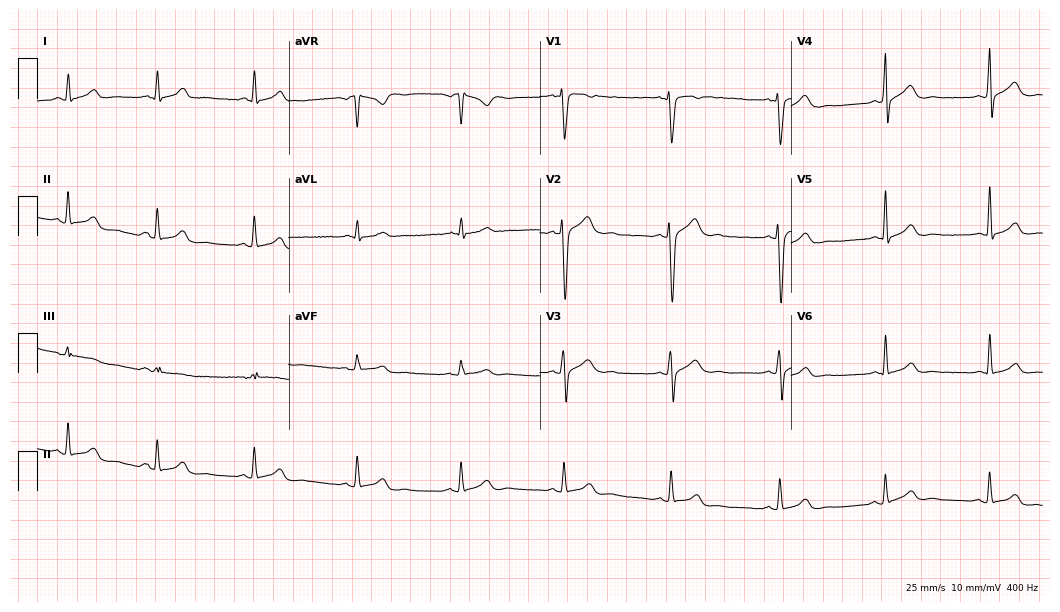
Standard 12-lead ECG recorded from a man, 26 years old. None of these six findings is recorded: first-degree AV block, right bundle branch block, left bundle branch block, sinus bradycardia, atrial fibrillation, sinus tachycardia.